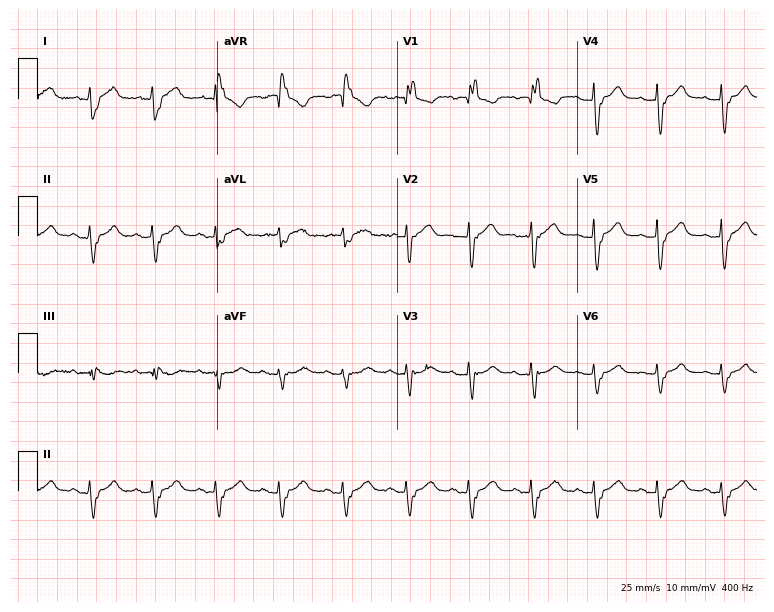
12-lead ECG (7.3-second recording at 400 Hz) from a female patient, 86 years old. Findings include right bundle branch block (RBBB).